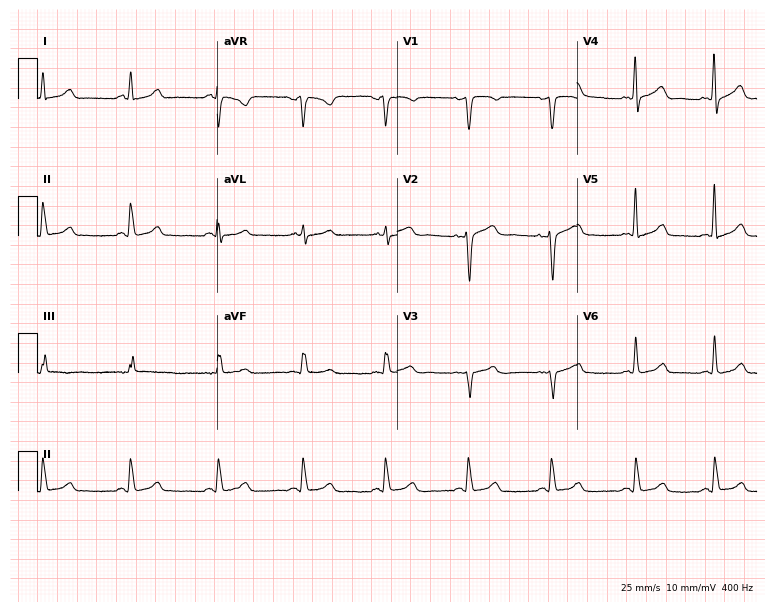
Resting 12-lead electrocardiogram. Patient: a 52-year-old female. Read as a normal ECG.